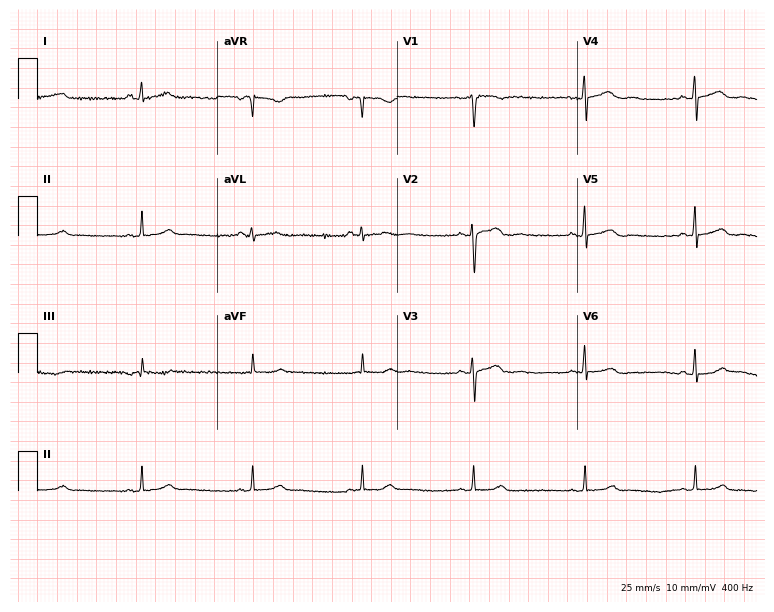
Resting 12-lead electrocardiogram (7.3-second recording at 400 Hz). Patient: a female, 25 years old. None of these six findings is recorded: first-degree AV block, right bundle branch block, left bundle branch block, sinus bradycardia, atrial fibrillation, sinus tachycardia.